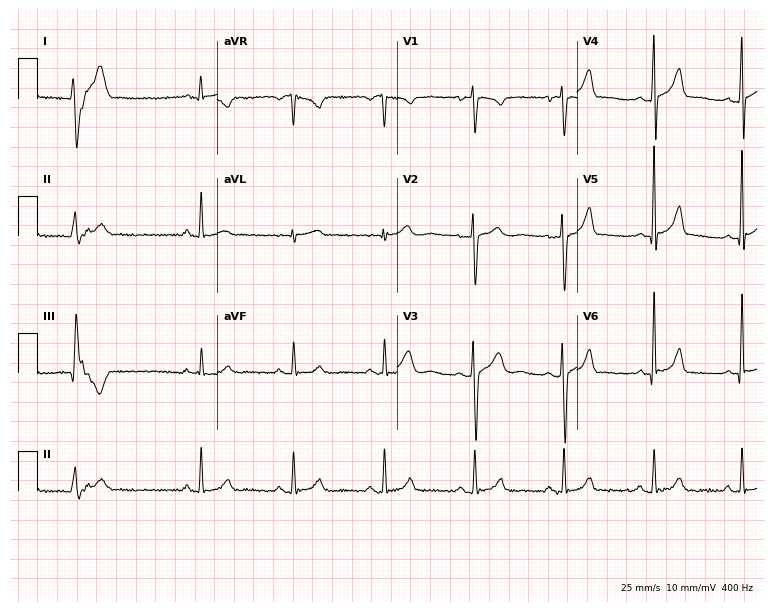
12-lead ECG from a male patient, 34 years old (7.3-second recording at 400 Hz). No first-degree AV block, right bundle branch block, left bundle branch block, sinus bradycardia, atrial fibrillation or sinus tachycardia recorded for this tracing. Findings outside these six are not listed.